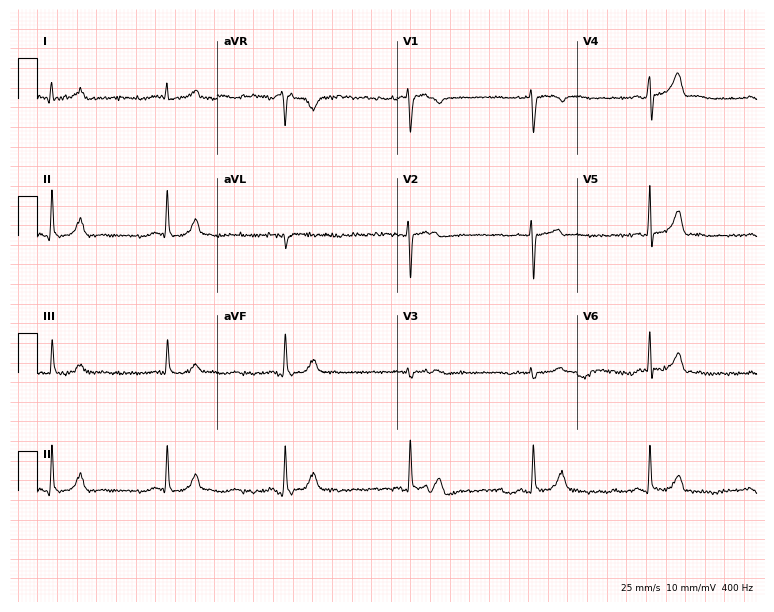
12-lead ECG from a man, 31 years old. No first-degree AV block, right bundle branch block, left bundle branch block, sinus bradycardia, atrial fibrillation or sinus tachycardia recorded for this tracing.